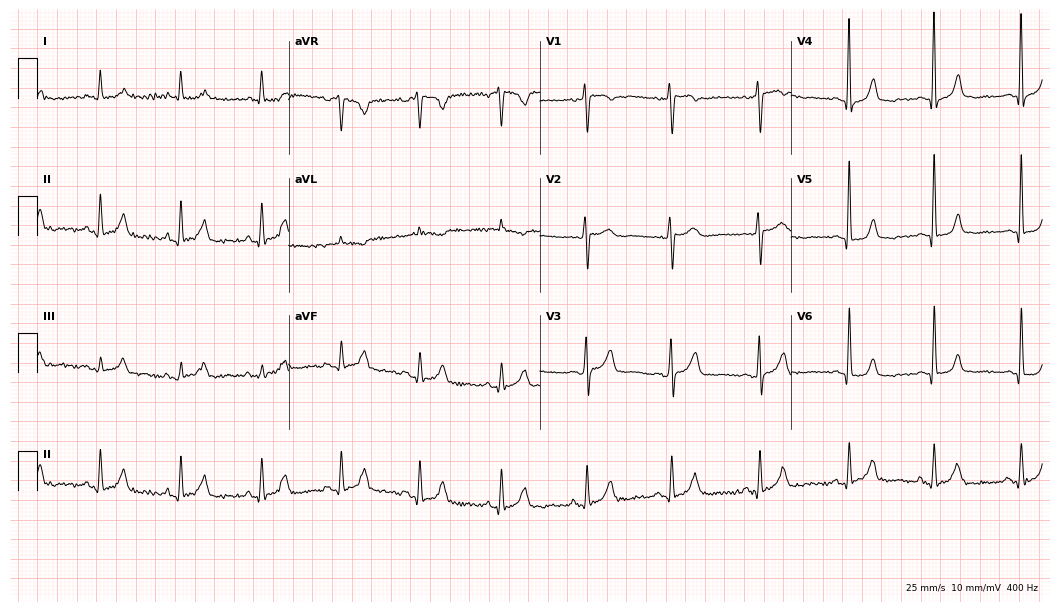
ECG (10.2-second recording at 400 Hz) — a man, 45 years old. Labelled as a normal ECG.